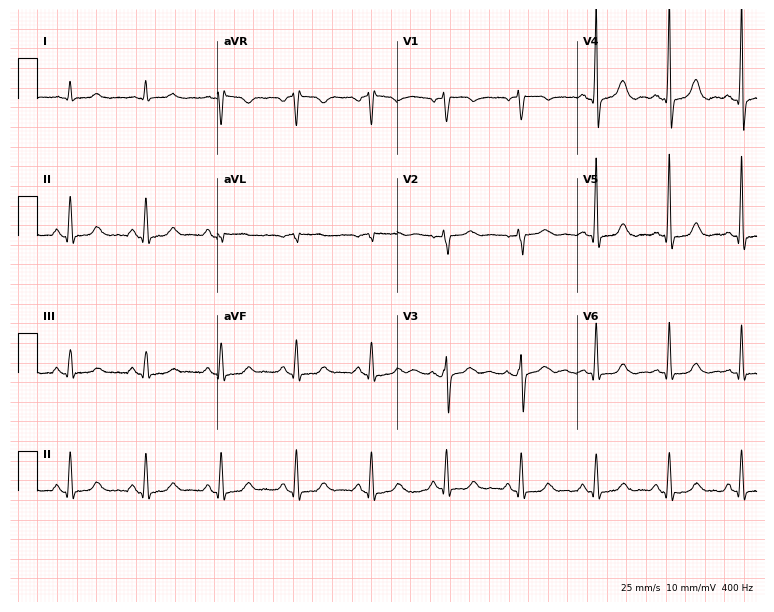
12-lead ECG (7.3-second recording at 400 Hz) from a male, 70 years old. Labelled as a normal ECG.